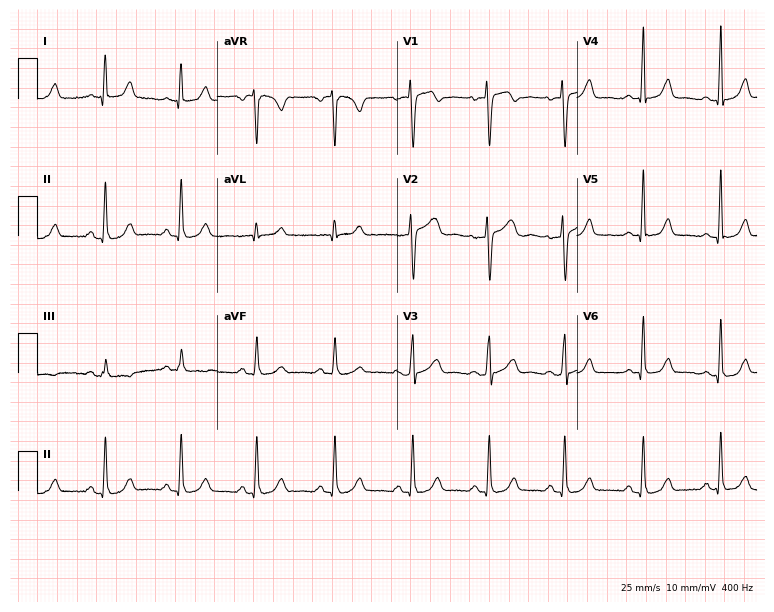
12-lead ECG from a woman, 40 years old. Recorded interpretation: within normal limits.